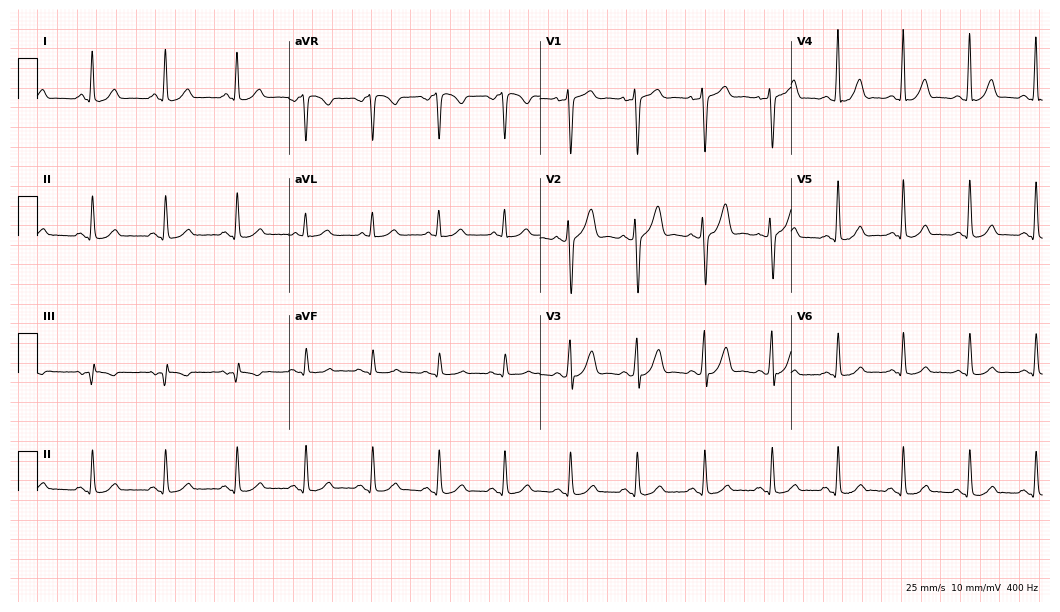
12-lead ECG from a 36-year-old male patient (10.2-second recording at 400 Hz). No first-degree AV block, right bundle branch block (RBBB), left bundle branch block (LBBB), sinus bradycardia, atrial fibrillation (AF) or sinus tachycardia recorded for this tracing. Other findings, if any, are not listed.